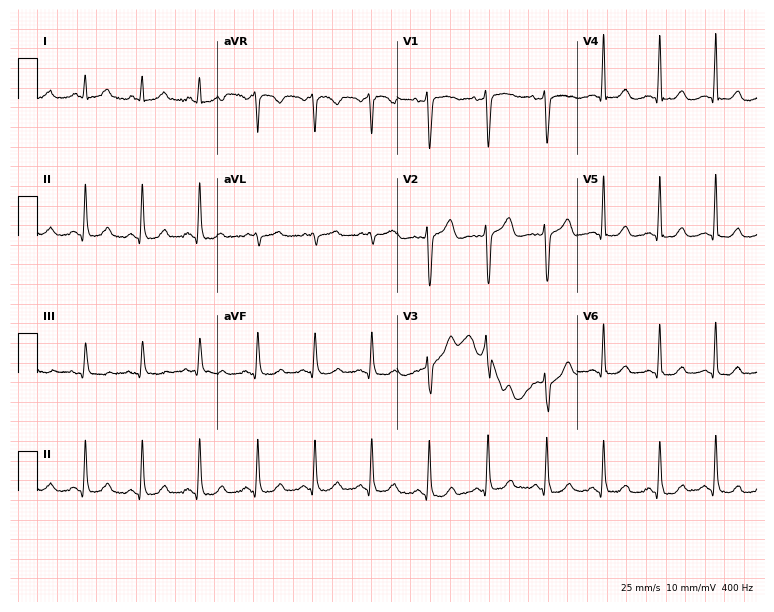
Electrocardiogram (7.3-second recording at 400 Hz), a 45-year-old woman. Overall reading on record: normal ECG.